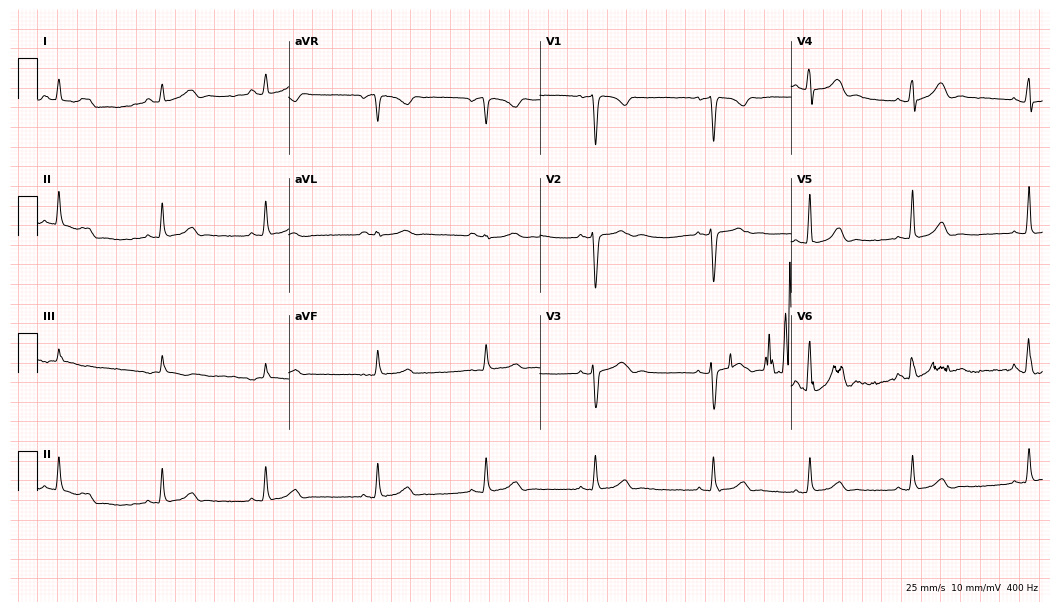
12-lead ECG from a female, 27 years old. Recorded interpretation: within normal limits.